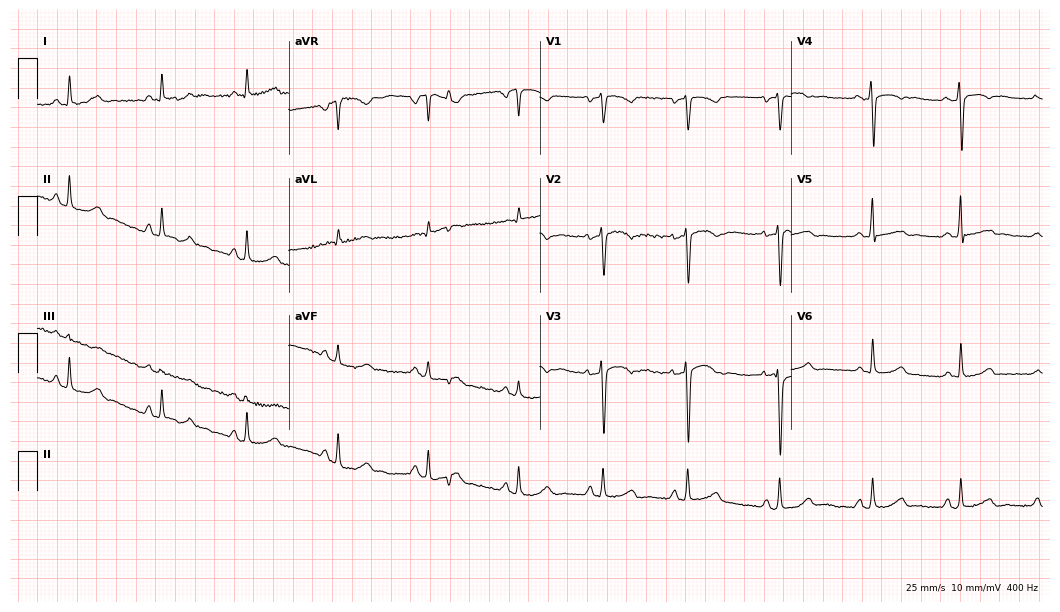
Electrocardiogram, a 31-year-old female patient. Of the six screened findings (first-degree AV block, right bundle branch block, left bundle branch block, sinus bradycardia, atrial fibrillation, sinus tachycardia), none is recorded. Only these six findings were labelled.